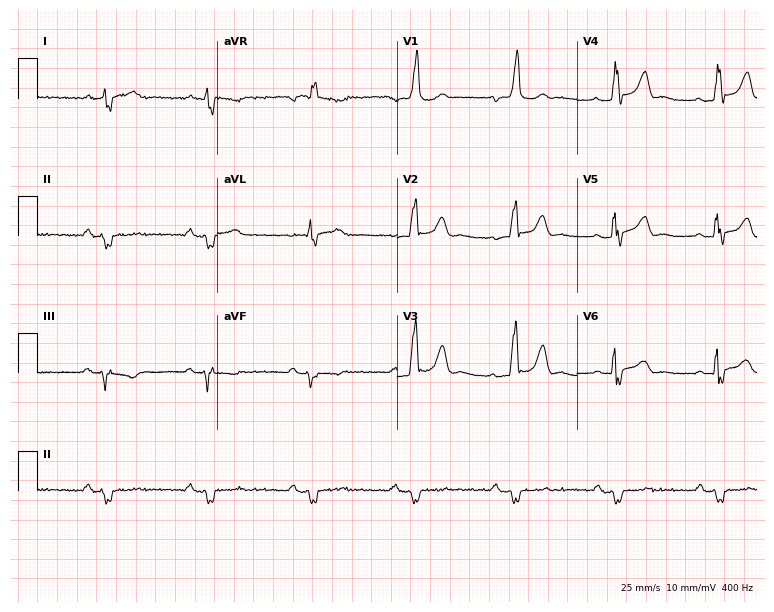
12-lead ECG from a male patient, 83 years old. Findings include right bundle branch block.